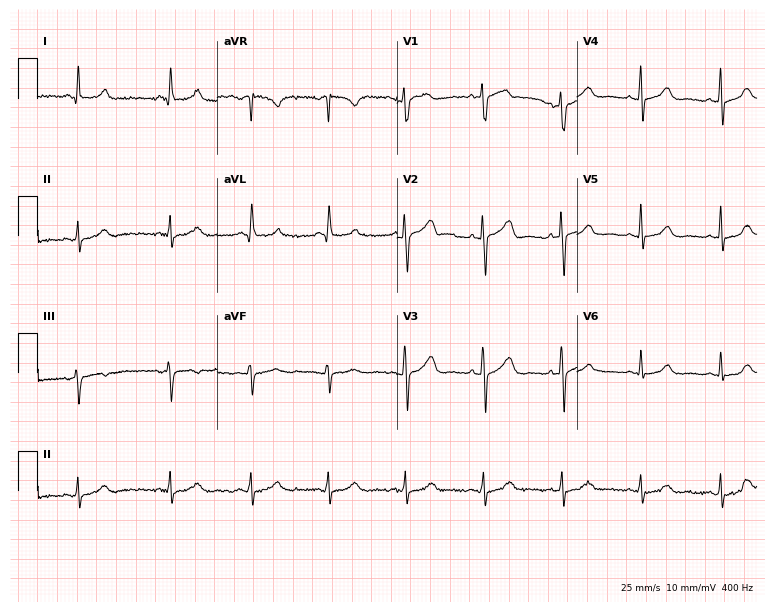
Standard 12-lead ECG recorded from a female patient, 58 years old (7.3-second recording at 400 Hz). Read as a normal ECG.